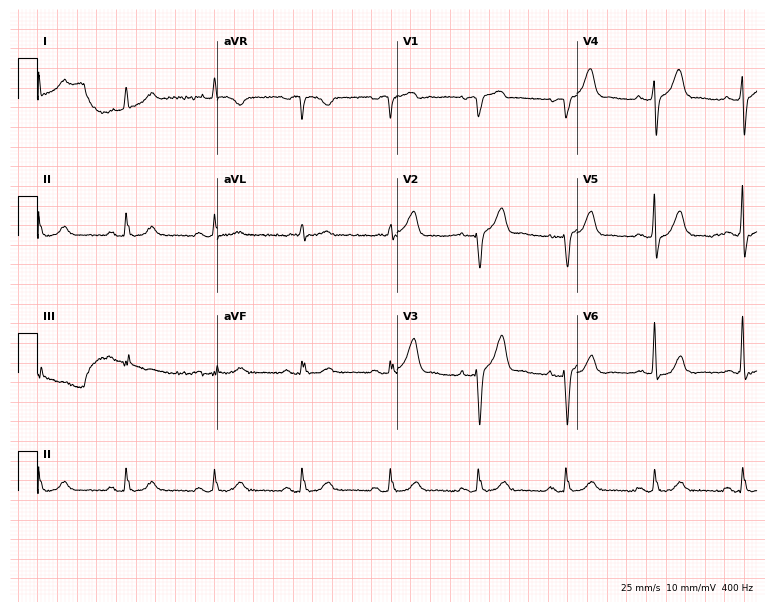
12-lead ECG from a man, 82 years old. Labelled as a normal ECG.